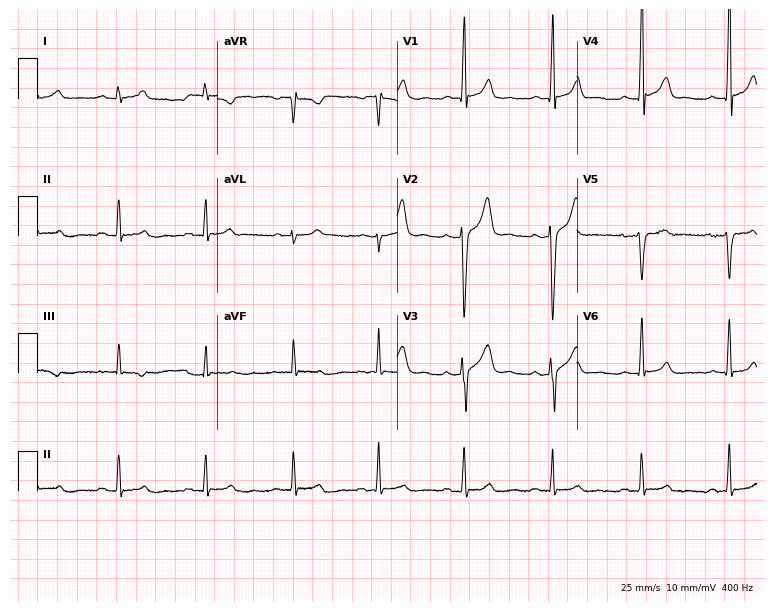
ECG — a 32-year-old male patient. Screened for six findings — first-degree AV block, right bundle branch block, left bundle branch block, sinus bradycardia, atrial fibrillation, sinus tachycardia — none is recorded.